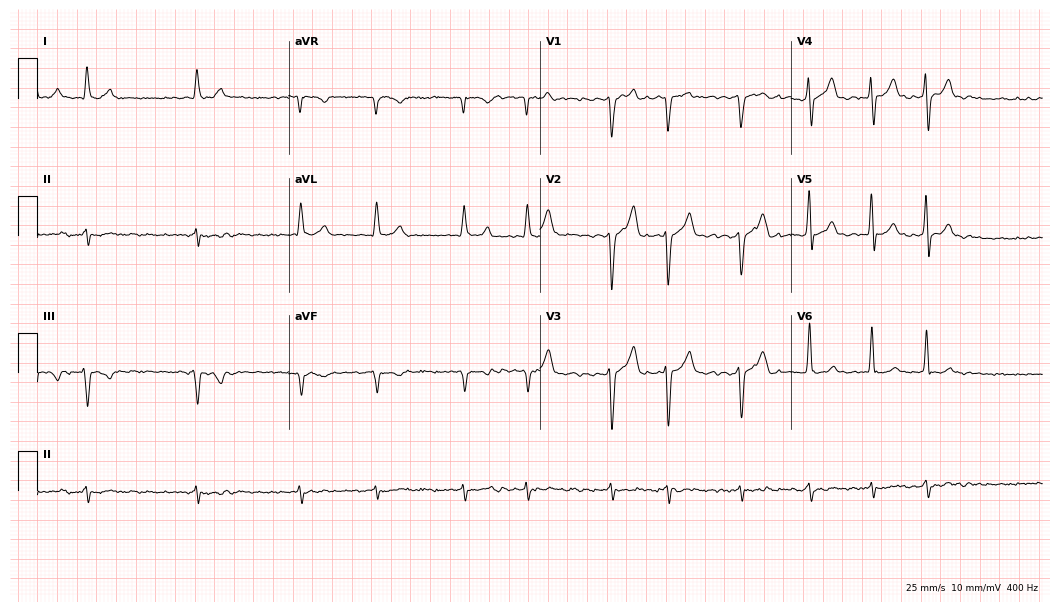
ECG (10.2-second recording at 400 Hz) — a male, 45 years old. Findings include atrial fibrillation (AF).